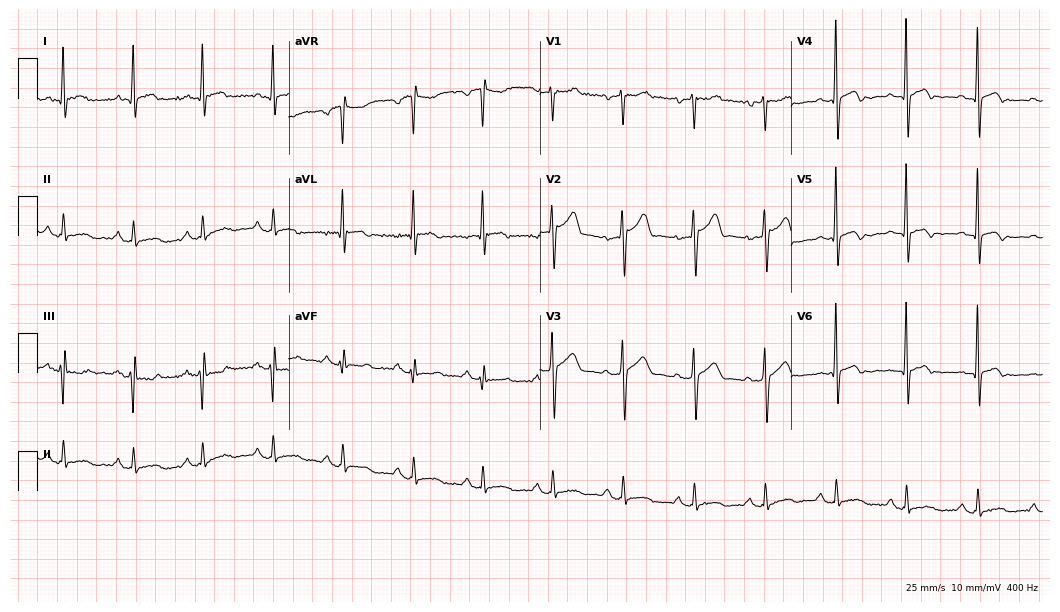
Standard 12-lead ECG recorded from a 46-year-old man. Read as a normal ECG.